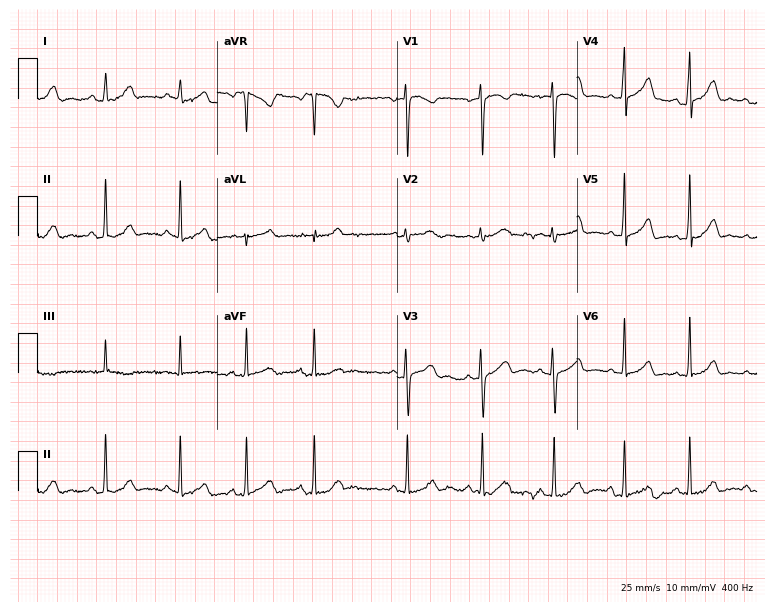
Standard 12-lead ECG recorded from a 17-year-old female patient (7.3-second recording at 400 Hz). Read as a normal ECG.